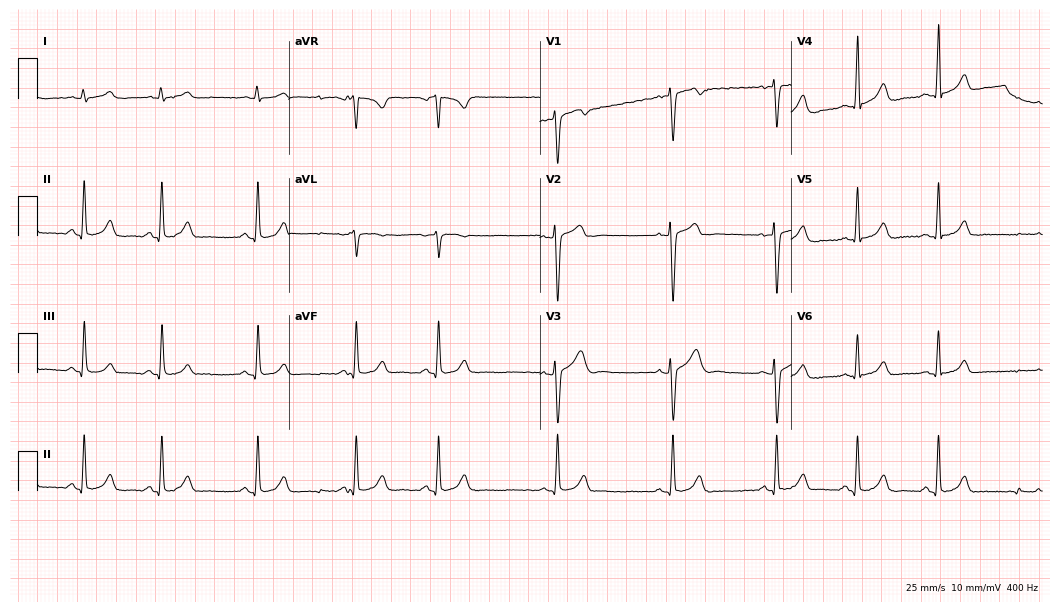
Electrocardiogram (10.2-second recording at 400 Hz), a woman, 19 years old. Of the six screened findings (first-degree AV block, right bundle branch block (RBBB), left bundle branch block (LBBB), sinus bradycardia, atrial fibrillation (AF), sinus tachycardia), none is recorded.